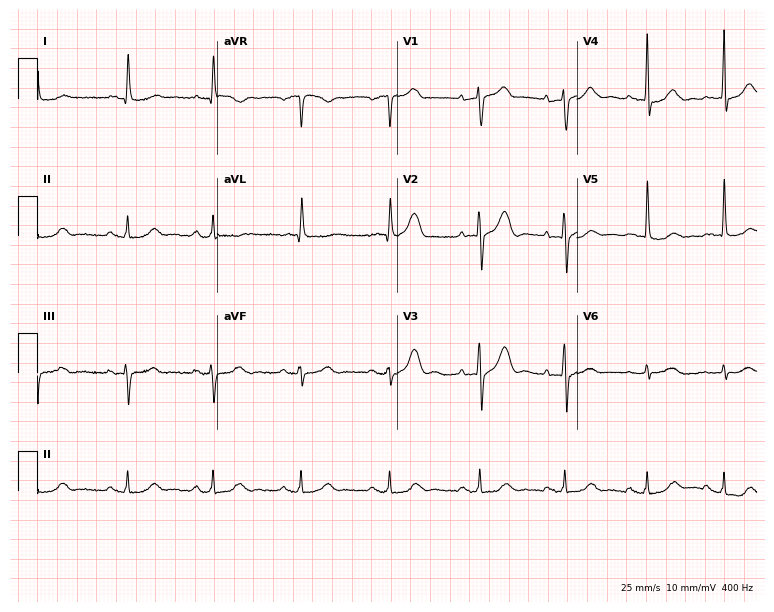
12-lead ECG from an 84-year-old female patient. Labelled as a normal ECG.